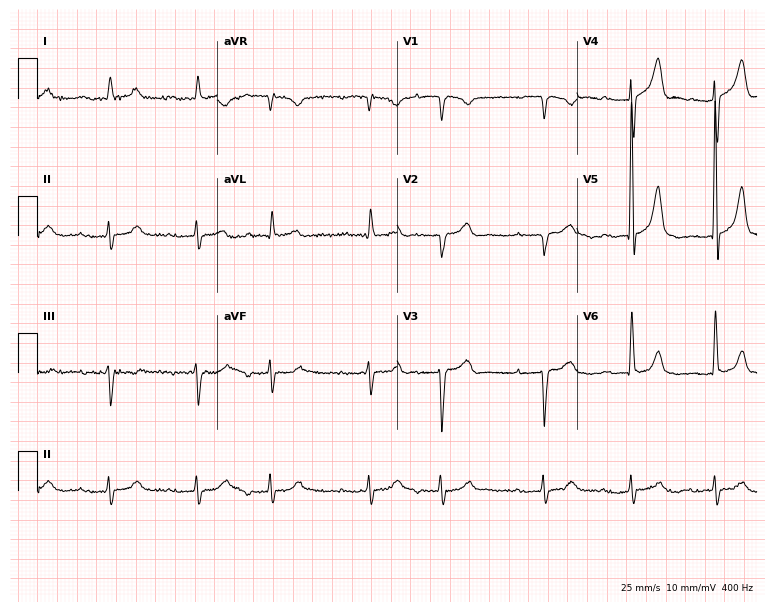
Electrocardiogram, a 72-year-old male. Interpretation includes atrial fibrillation.